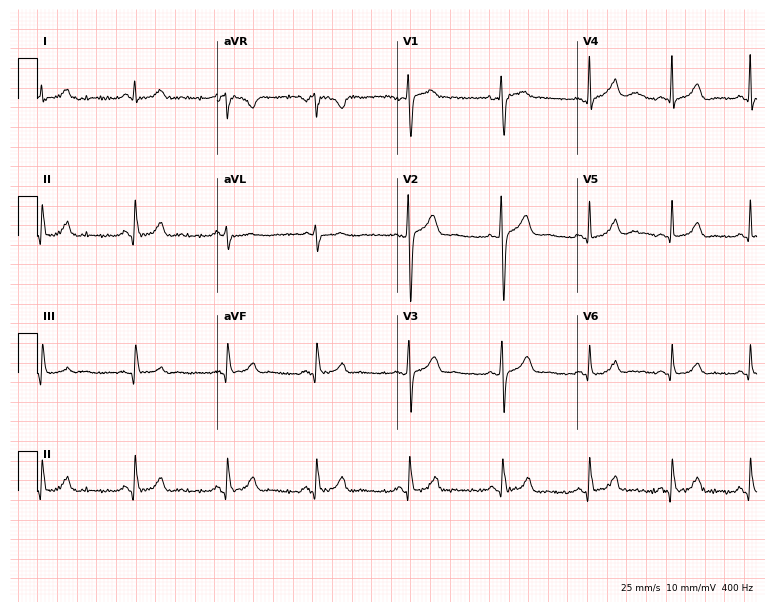
12-lead ECG (7.3-second recording at 400 Hz) from a female patient, 46 years old. Labelled as a normal ECG.